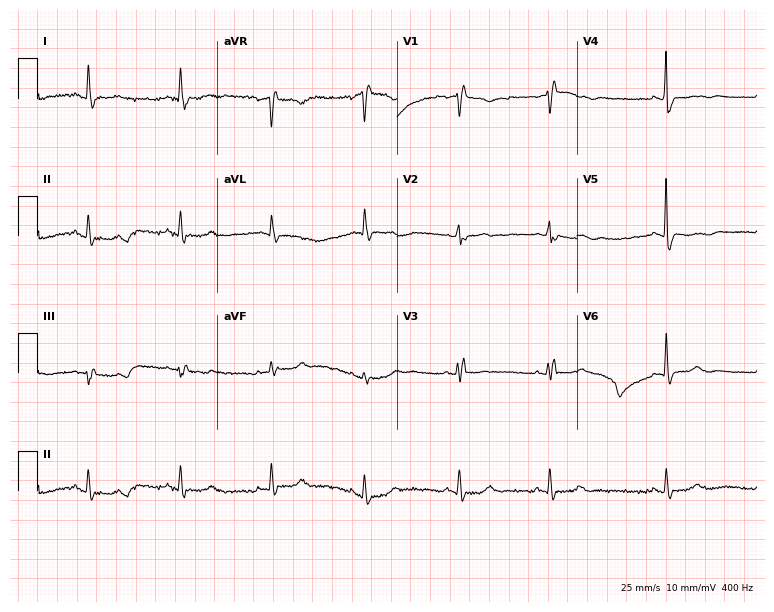
Resting 12-lead electrocardiogram (7.3-second recording at 400 Hz). Patient: an 84-year-old woman. None of these six findings is recorded: first-degree AV block, right bundle branch block, left bundle branch block, sinus bradycardia, atrial fibrillation, sinus tachycardia.